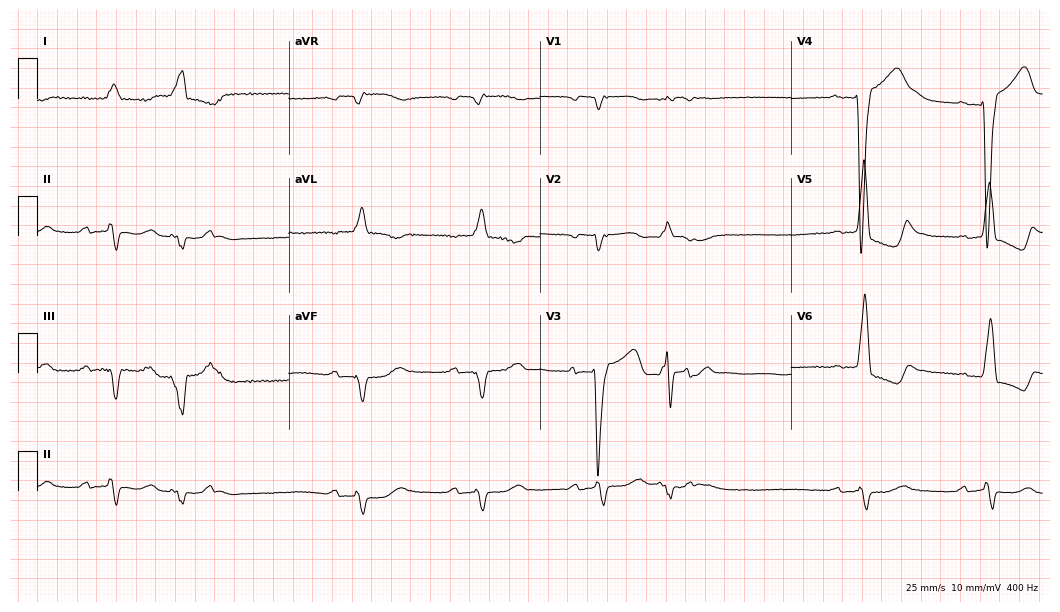
Electrocardiogram (10.2-second recording at 400 Hz), a man, 84 years old. Interpretation includes first-degree AV block, left bundle branch block.